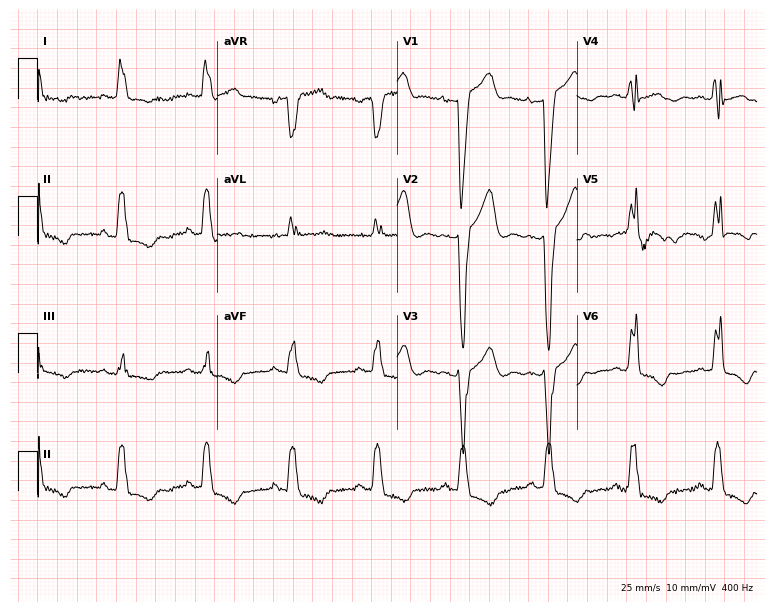
Standard 12-lead ECG recorded from a female patient, 43 years old. The tracing shows left bundle branch block (LBBB).